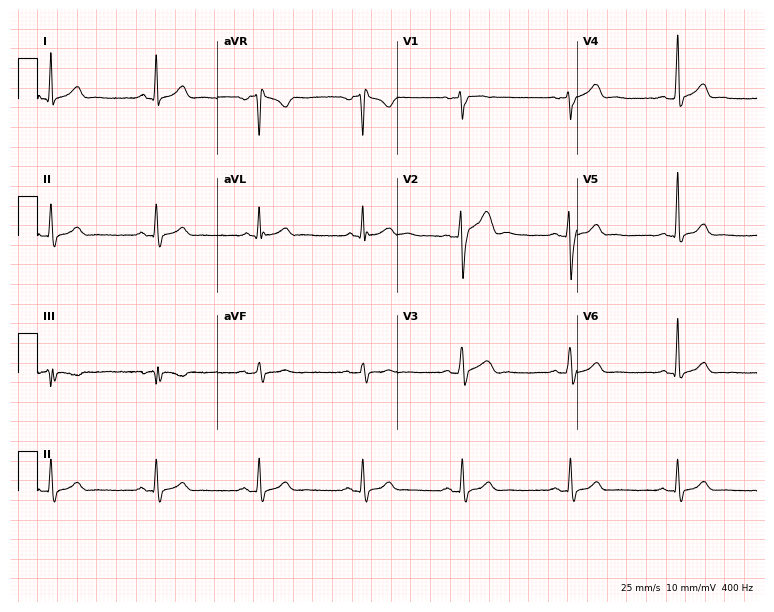
12-lead ECG from a man, 29 years old (7.3-second recording at 400 Hz). Recorded interpretation: within normal limits.